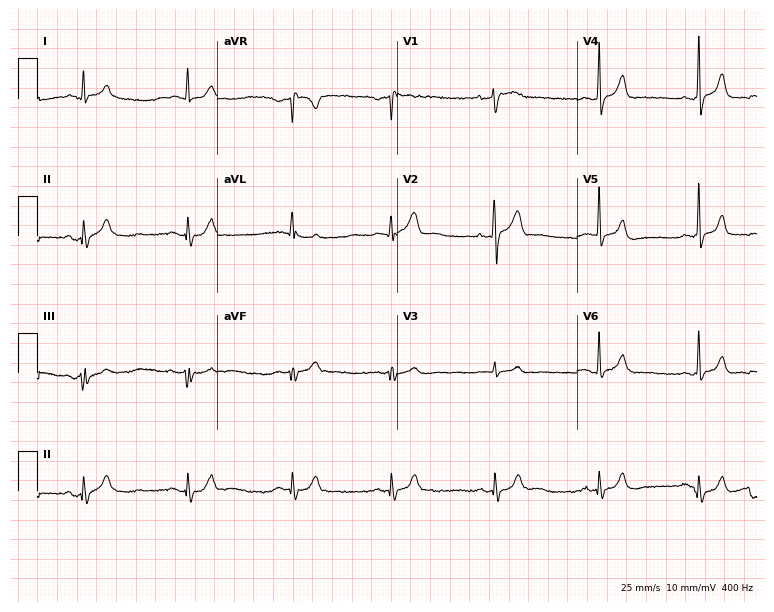
Resting 12-lead electrocardiogram (7.3-second recording at 400 Hz). Patient: a man, 47 years old. None of these six findings is recorded: first-degree AV block, right bundle branch block, left bundle branch block, sinus bradycardia, atrial fibrillation, sinus tachycardia.